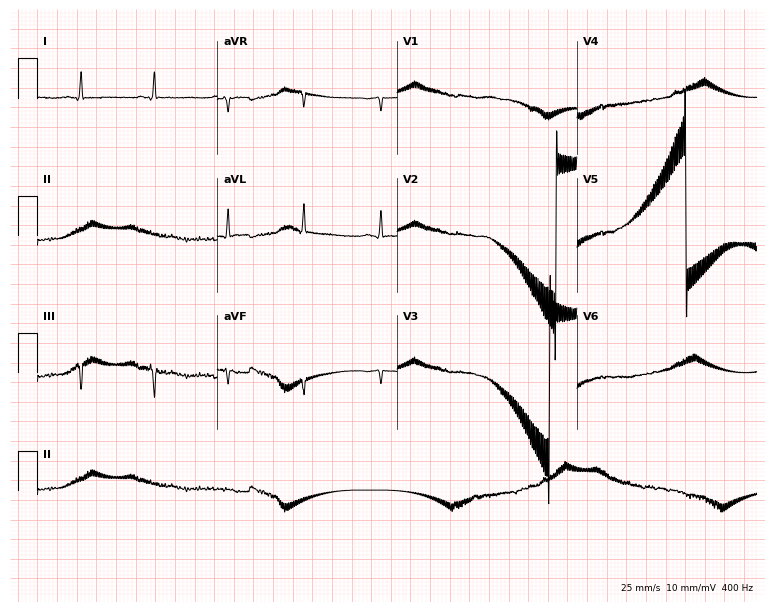
Resting 12-lead electrocardiogram. Patient: a 79-year-old male. None of these six findings is recorded: first-degree AV block, right bundle branch block, left bundle branch block, sinus bradycardia, atrial fibrillation, sinus tachycardia.